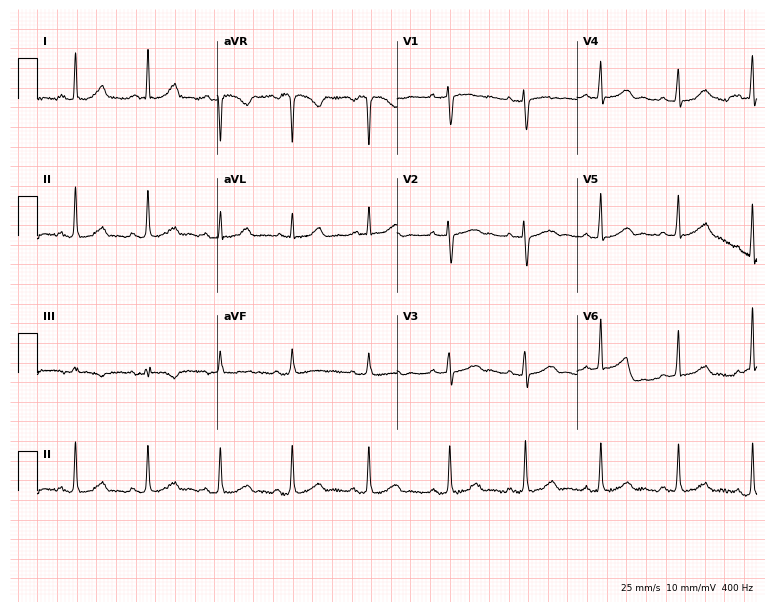
12-lead ECG from a female patient, 39 years old. Screened for six findings — first-degree AV block, right bundle branch block, left bundle branch block, sinus bradycardia, atrial fibrillation, sinus tachycardia — none is recorded. Other findings, if any, are not listed.